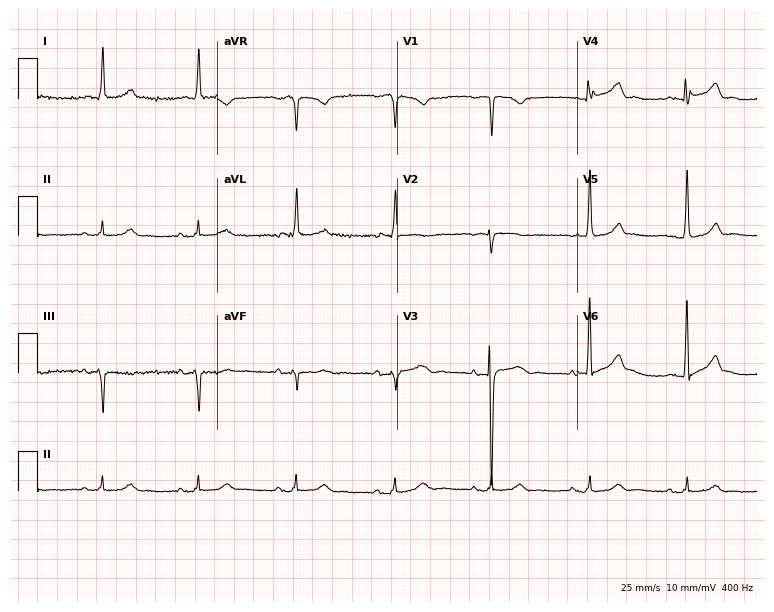
12-lead ECG from a female, 79 years old. Recorded interpretation: within normal limits.